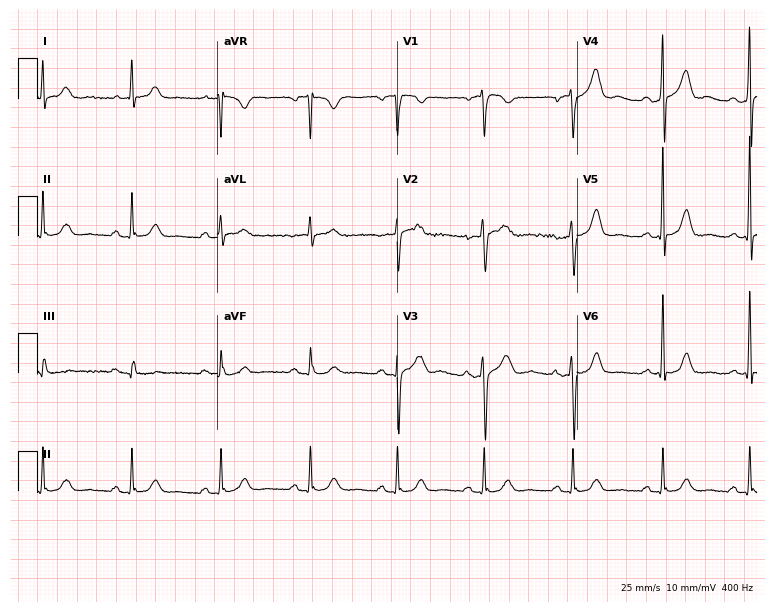
Electrocardiogram, a woman, 64 years old. Overall reading on record: normal ECG.